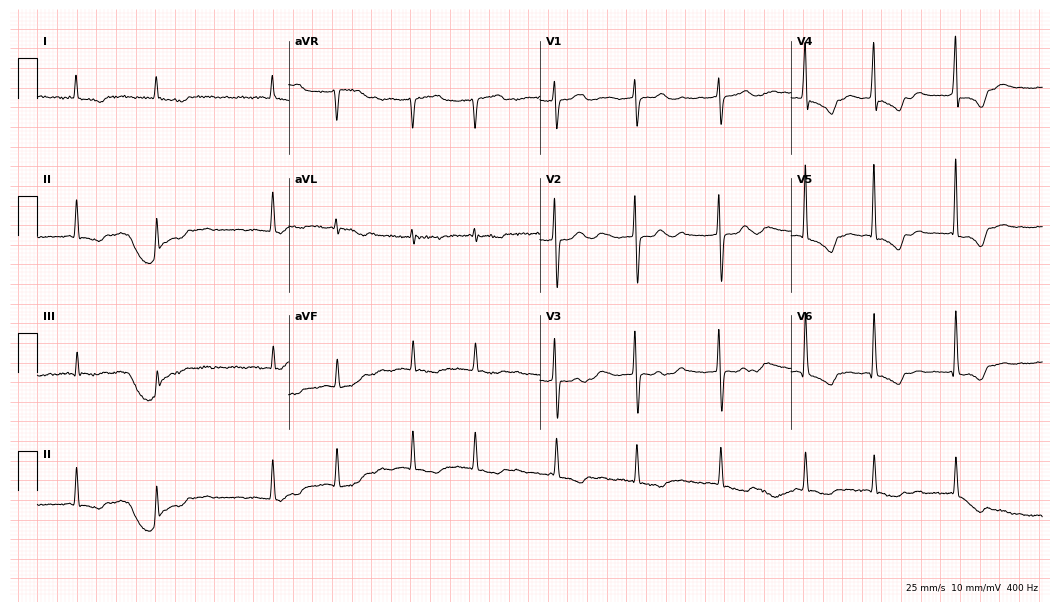
ECG — a 75-year-old female patient. Findings include atrial fibrillation.